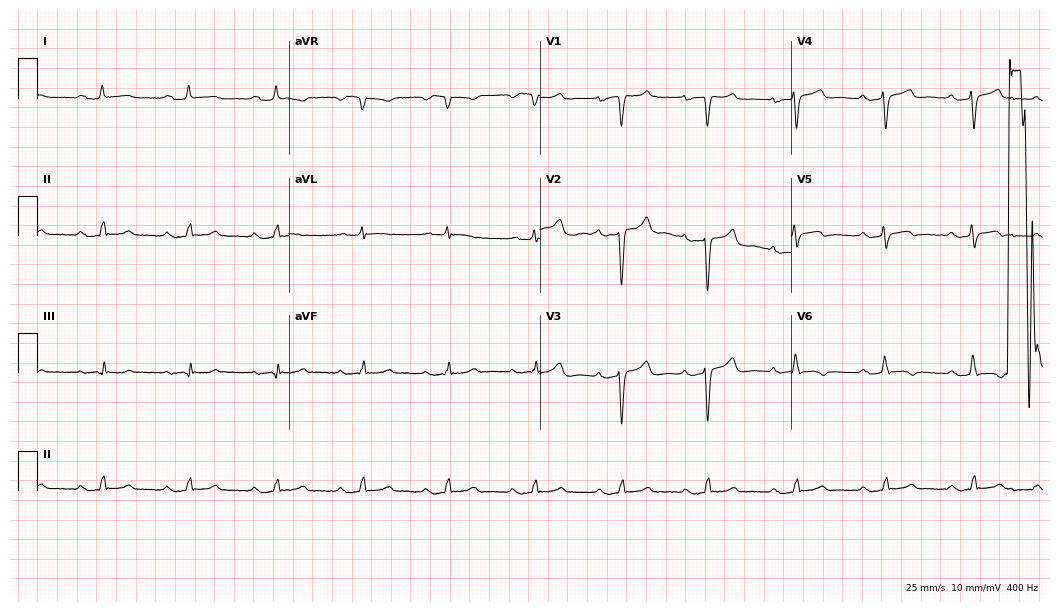
12-lead ECG from a 65-year-old female patient. Shows first-degree AV block.